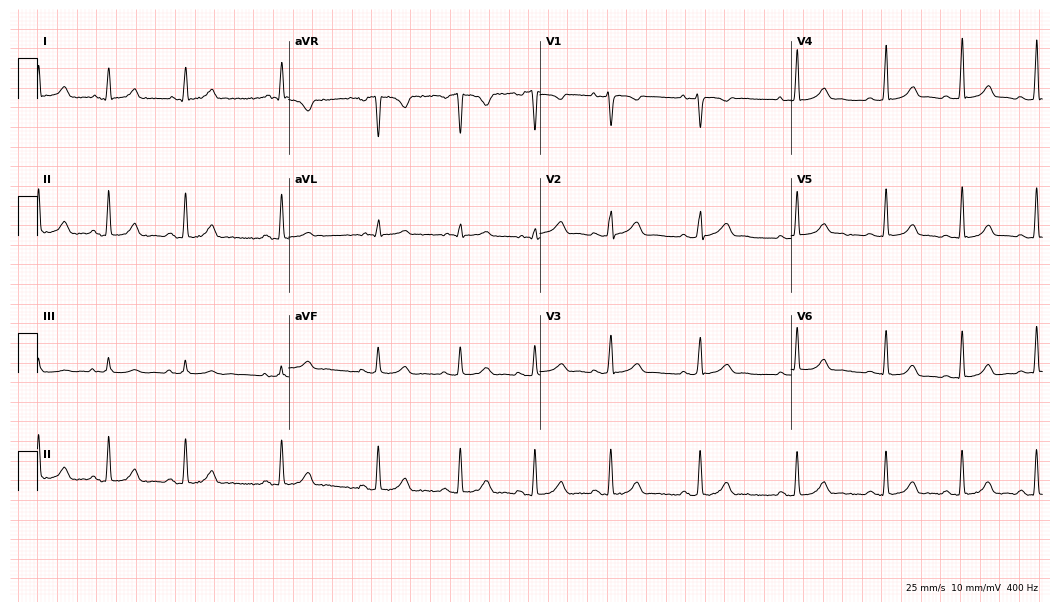
Resting 12-lead electrocardiogram. Patient: a woman, 26 years old. Read as a normal ECG.